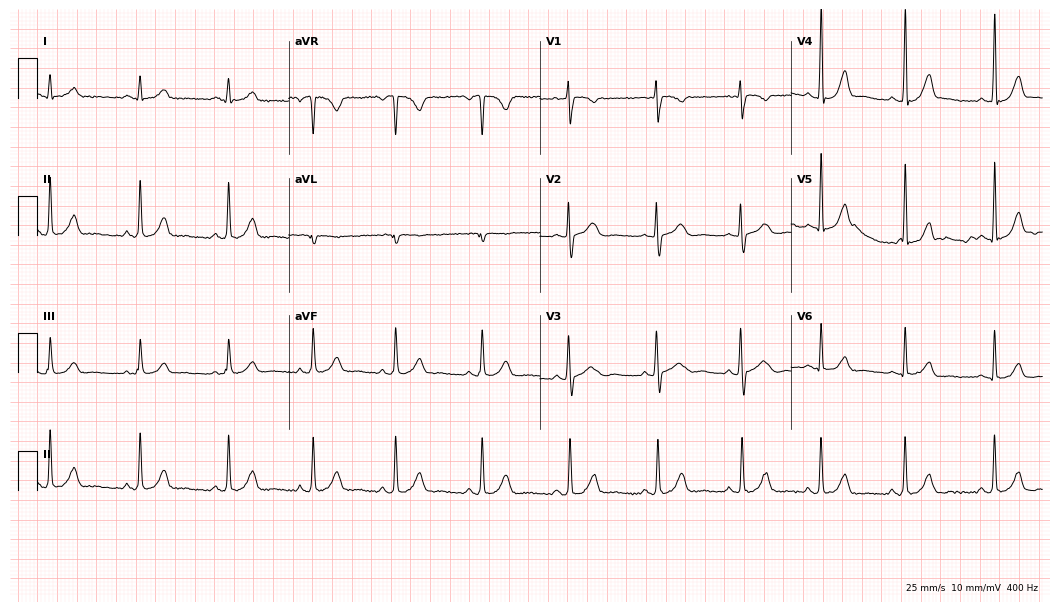
Resting 12-lead electrocardiogram. Patient: a 17-year-old female. None of these six findings is recorded: first-degree AV block, right bundle branch block (RBBB), left bundle branch block (LBBB), sinus bradycardia, atrial fibrillation (AF), sinus tachycardia. Other findings, if any, are not listed.